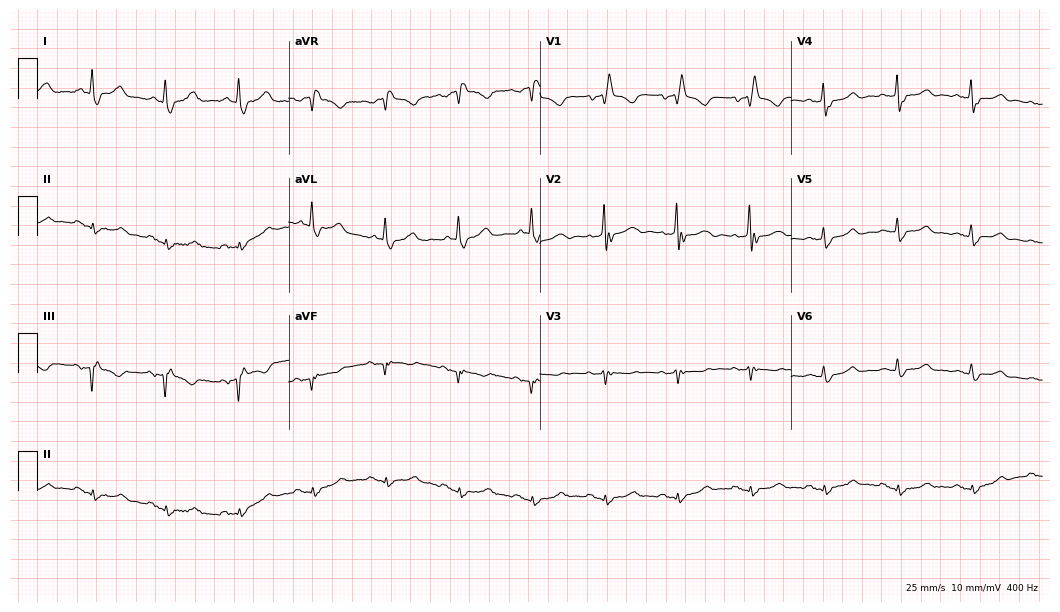
Standard 12-lead ECG recorded from a woman, 67 years old (10.2-second recording at 400 Hz). The tracing shows right bundle branch block.